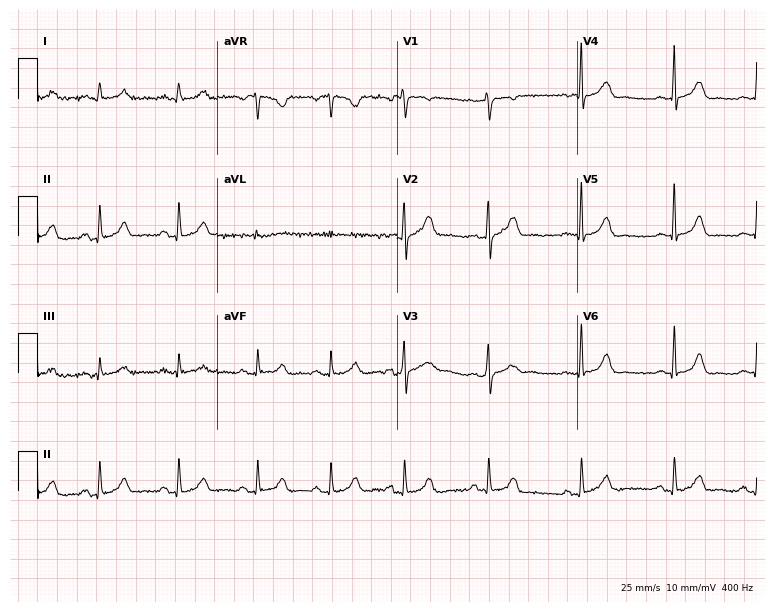
ECG (7.3-second recording at 400 Hz) — a 23-year-old woman. Labelled as a normal ECG.